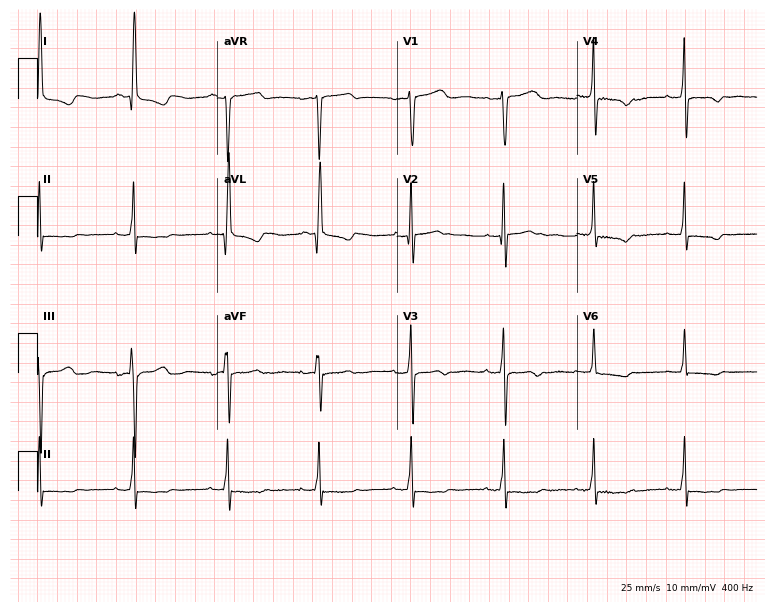
12-lead ECG from a 66-year-old female (7.3-second recording at 400 Hz). No first-degree AV block, right bundle branch block, left bundle branch block, sinus bradycardia, atrial fibrillation or sinus tachycardia recorded for this tracing. Other findings, if any, are not listed.